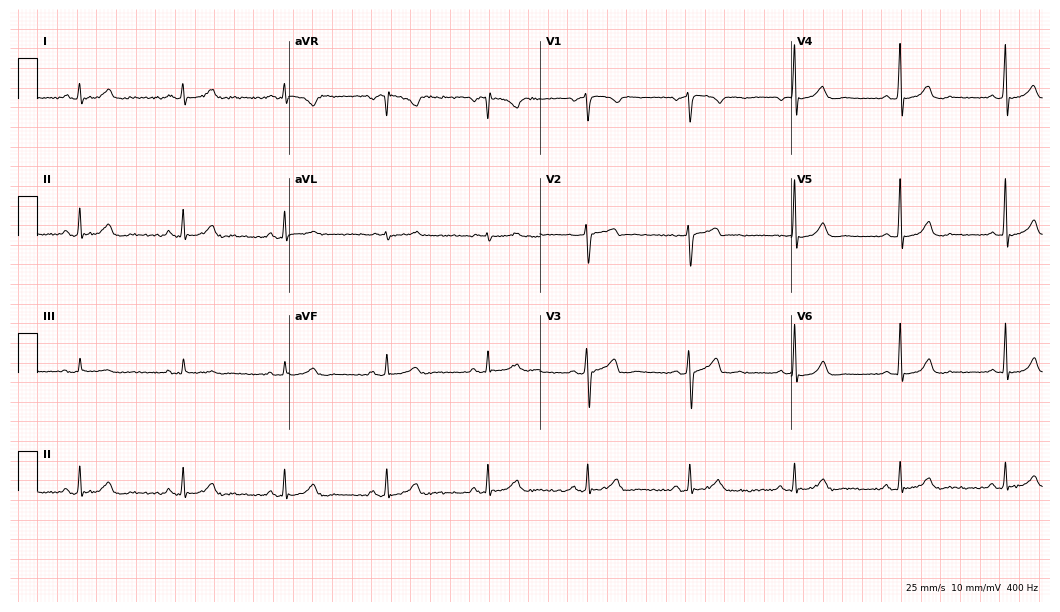
12-lead ECG (10.2-second recording at 400 Hz) from a male patient, 47 years old. Labelled as a normal ECG.